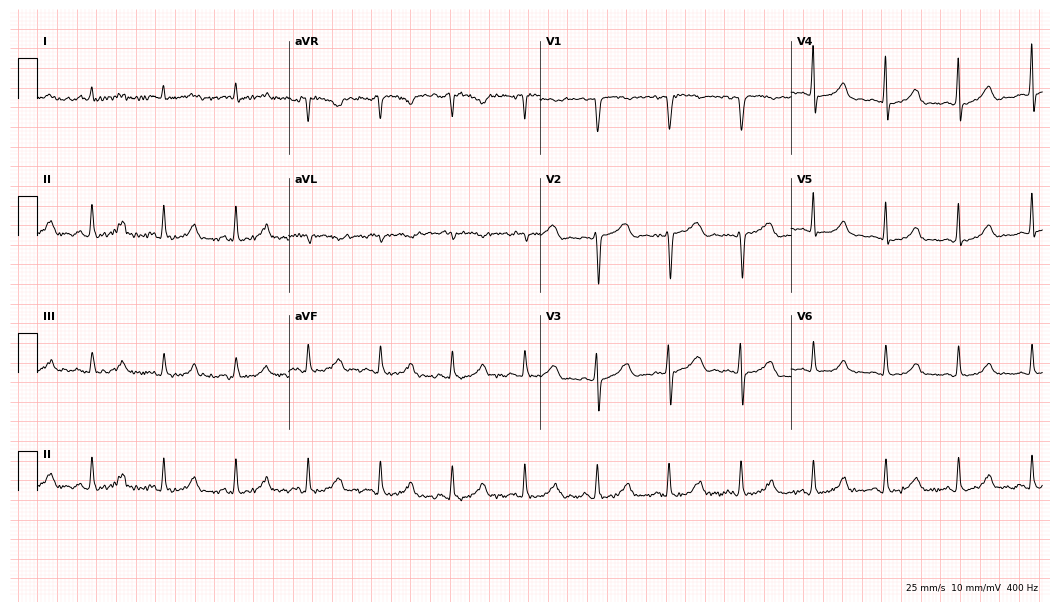
12-lead ECG (10.2-second recording at 400 Hz) from a 41-year-old female. Labelled as a normal ECG.